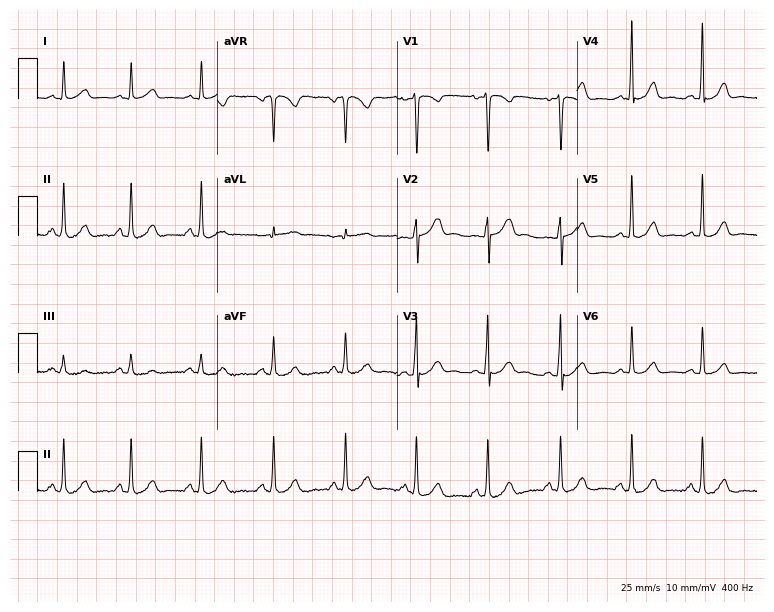
12-lead ECG from a 19-year-old female (7.3-second recording at 400 Hz). Recorded interpretation: within normal limits.